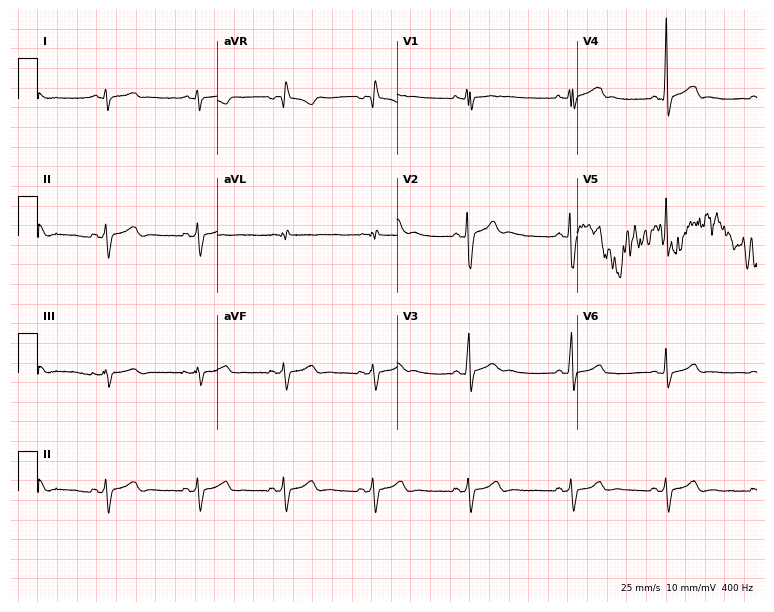
12-lead ECG from a 17-year-old man. Screened for six findings — first-degree AV block, right bundle branch block, left bundle branch block, sinus bradycardia, atrial fibrillation, sinus tachycardia — none is recorded.